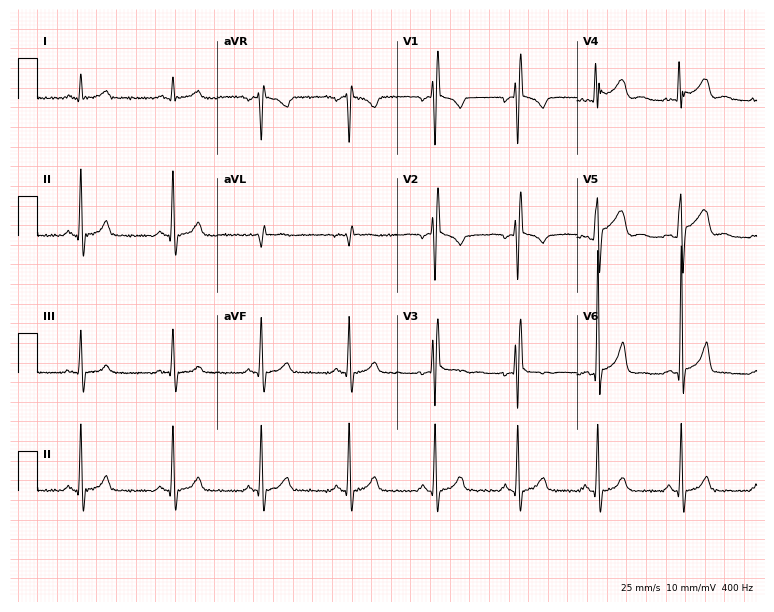
Resting 12-lead electrocardiogram. Patient: an 18-year-old man. None of these six findings is recorded: first-degree AV block, right bundle branch block, left bundle branch block, sinus bradycardia, atrial fibrillation, sinus tachycardia. Other findings, if any, are not listed.